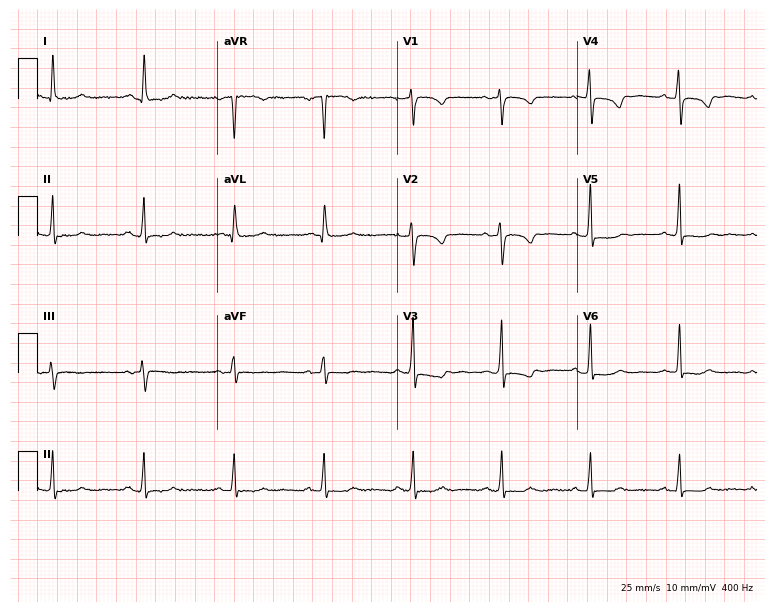
12-lead ECG from a 61-year-old female. No first-degree AV block, right bundle branch block (RBBB), left bundle branch block (LBBB), sinus bradycardia, atrial fibrillation (AF) or sinus tachycardia recorded for this tracing.